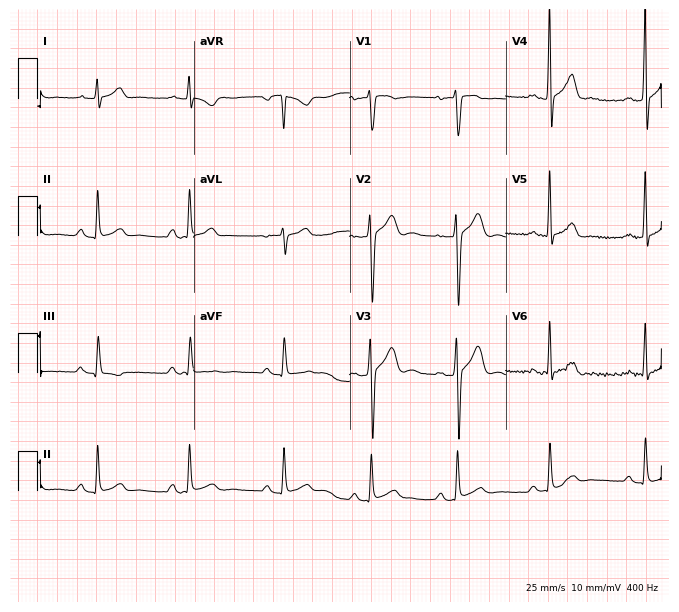
Electrocardiogram (6.4-second recording at 400 Hz), a male, 24 years old. Of the six screened findings (first-degree AV block, right bundle branch block (RBBB), left bundle branch block (LBBB), sinus bradycardia, atrial fibrillation (AF), sinus tachycardia), none is recorded. Findings outside these six are not listed.